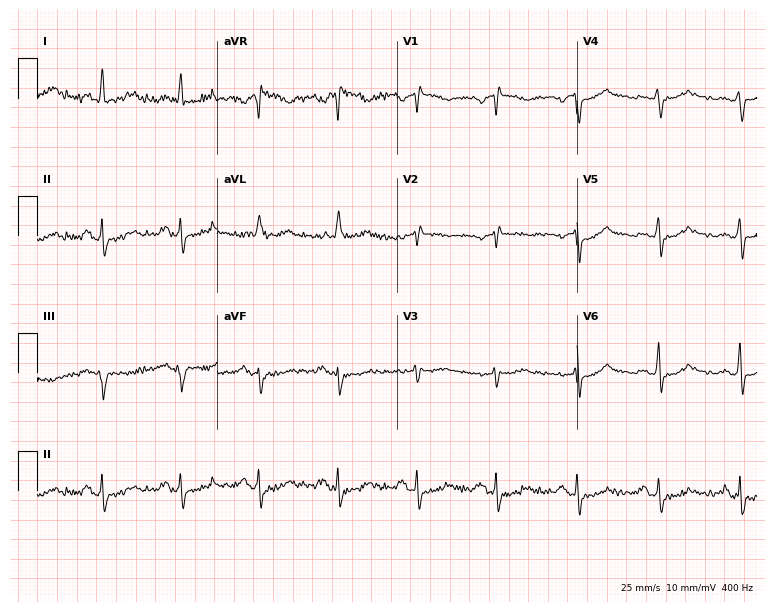
12-lead ECG (7.3-second recording at 400 Hz) from a 54-year-old male. Findings include first-degree AV block.